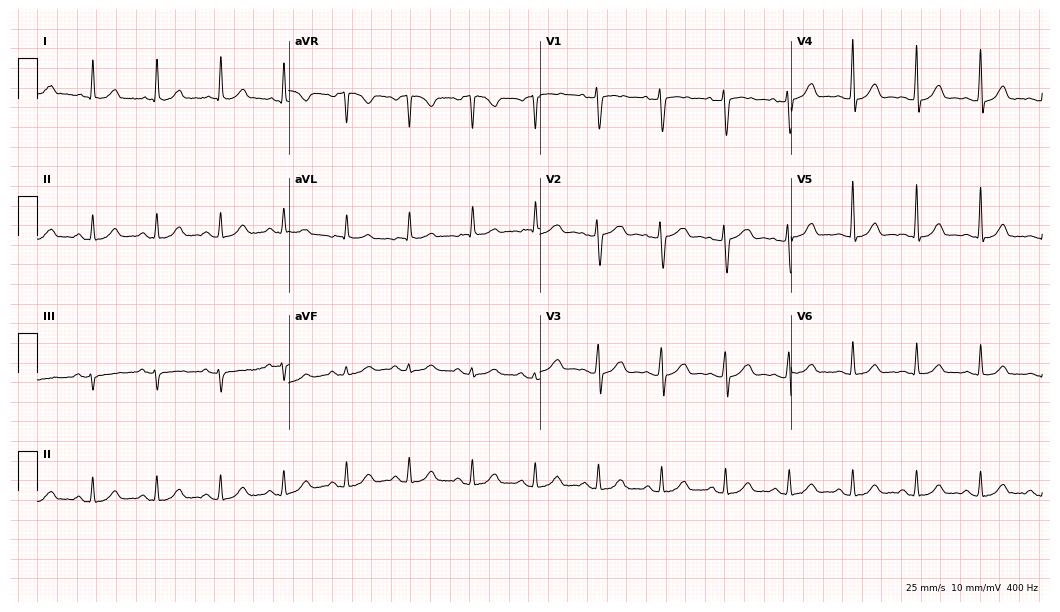
ECG — a female patient, 63 years old. Screened for six findings — first-degree AV block, right bundle branch block (RBBB), left bundle branch block (LBBB), sinus bradycardia, atrial fibrillation (AF), sinus tachycardia — none is recorded. Other findings, if any, are not listed.